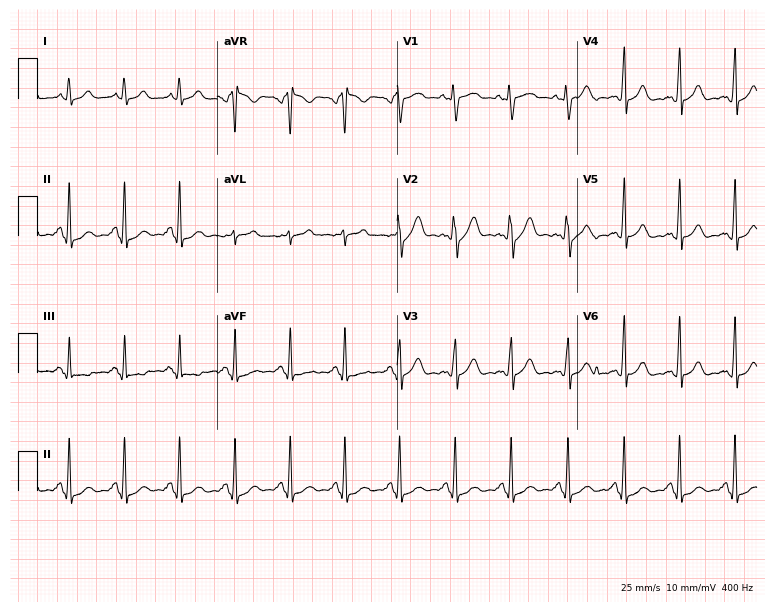
12-lead ECG (7.3-second recording at 400 Hz) from a female, 25 years old. Screened for six findings — first-degree AV block, right bundle branch block, left bundle branch block, sinus bradycardia, atrial fibrillation, sinus tachycardia — none is recorded.